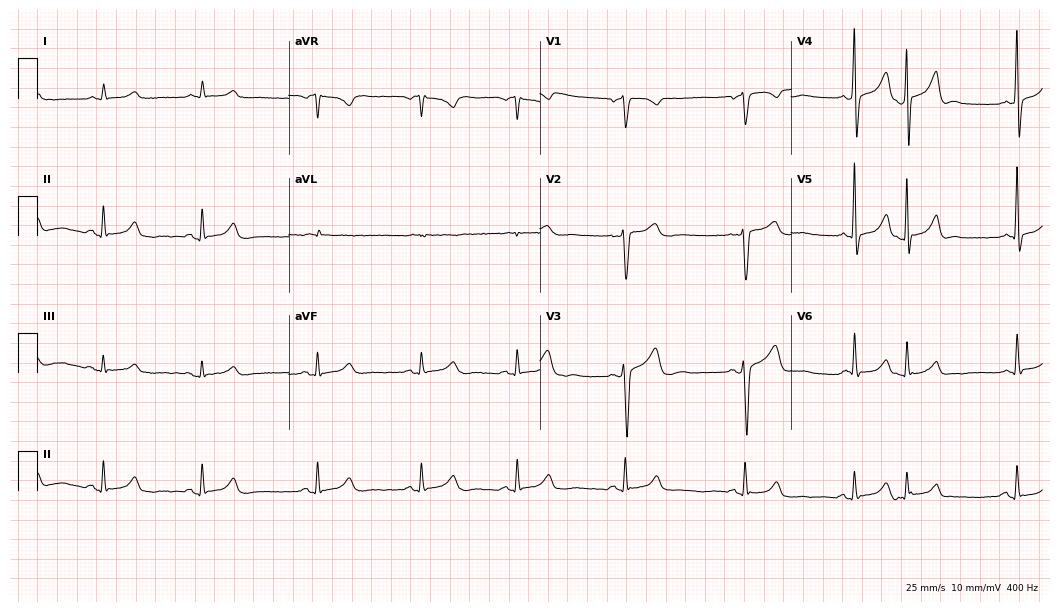
Electrocardiogram (10.2-second recording at 400 Hz), a female, 67 years old. Overall reading on record: normal ECG.